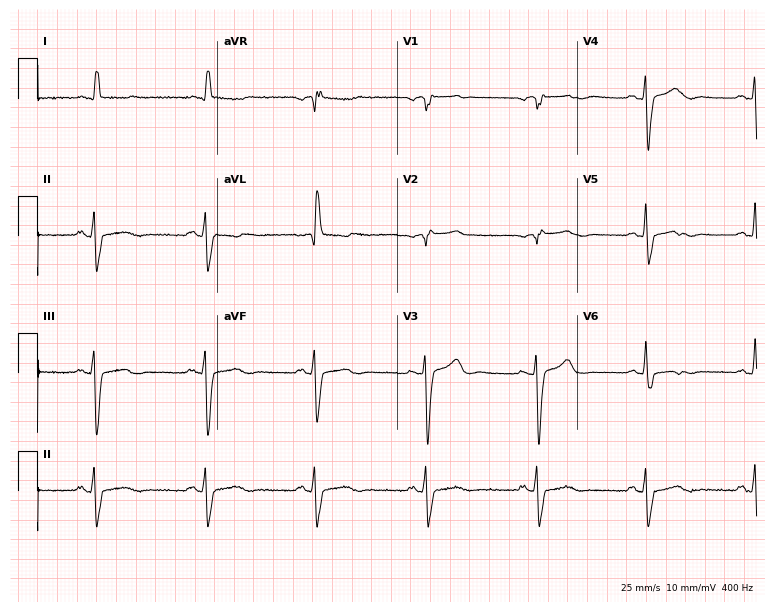
Standard 12-lead ECG recorded from an 81-year-old woman (7.3-second recording at 400 Hz). None of these six findings is recorded: first-degree AV block, right bundle branch block, left bundle branch block, sinus bradycardia, atrial fibrillation, sinus tachycardia. Findings outside these six are not listed.